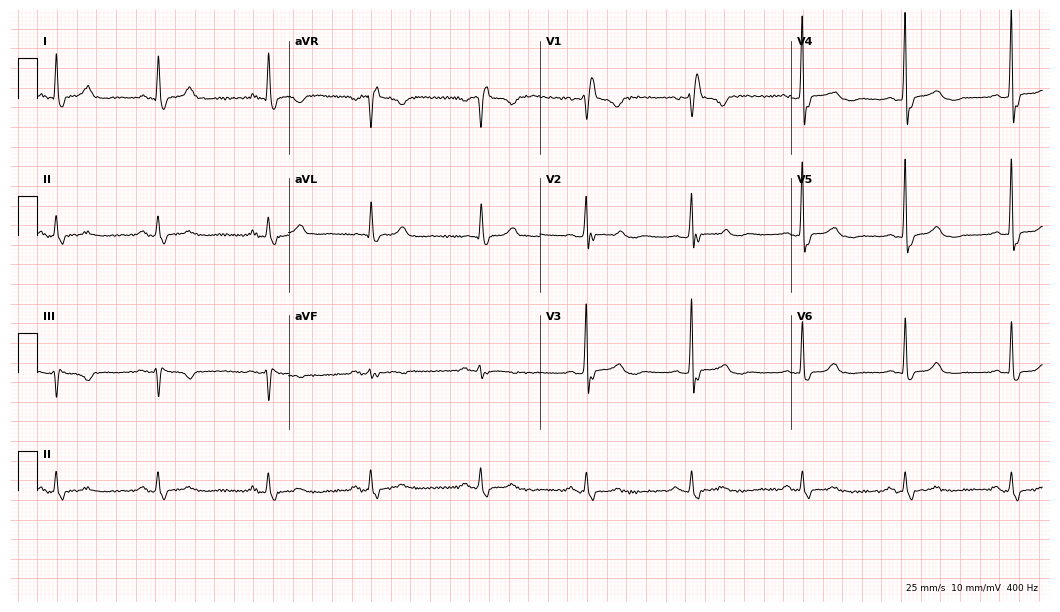
12-lead ECG (10.2-second recording at 400 Hz) from a woman, 53 years old. Findings include right bundle branch block.